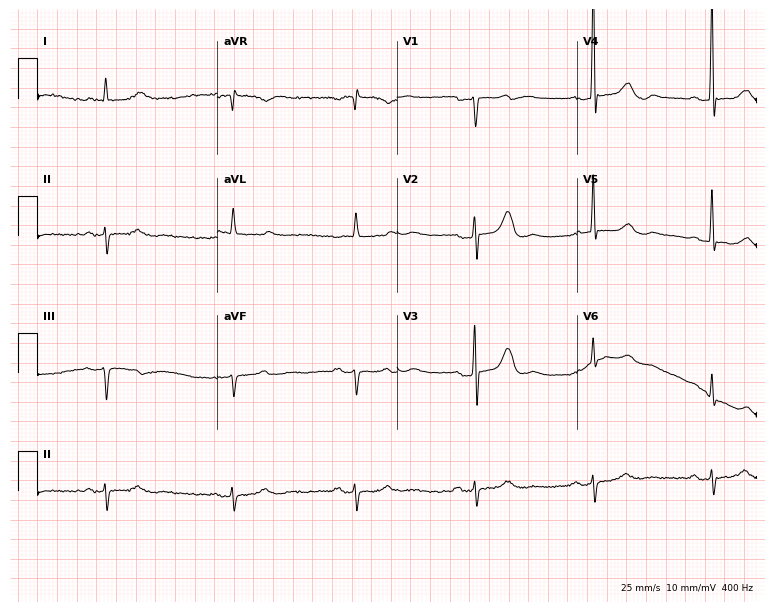
12-lead ECG from a 74-year-old male (7.3-second recording at 400 Hz). Shows first-degree AV block, sinus bradycardia (a sinus rate of 50 beats per minute or less).